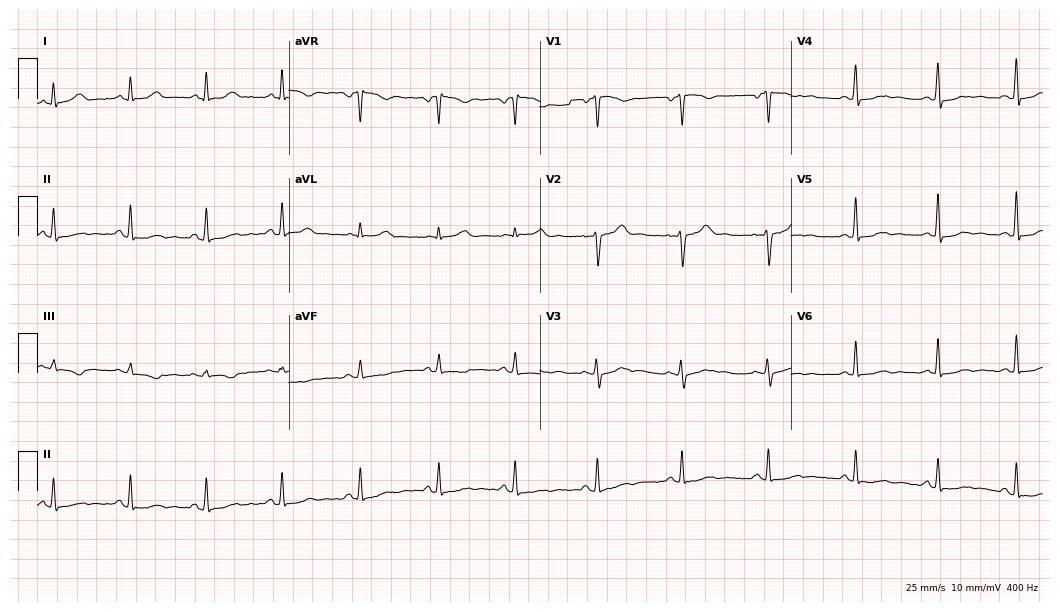
Resting 12-lead electrocardiogram (10.2-second recording at 400 Hz). Patient: a woman, 36 years old. None of these six findings is recorded: first-degree AV block, right bundle branch block (RBBB), left bundle branch block (LBBB), sinus bradycardia, atrial fibrillation (AF), sinus tachycardia.